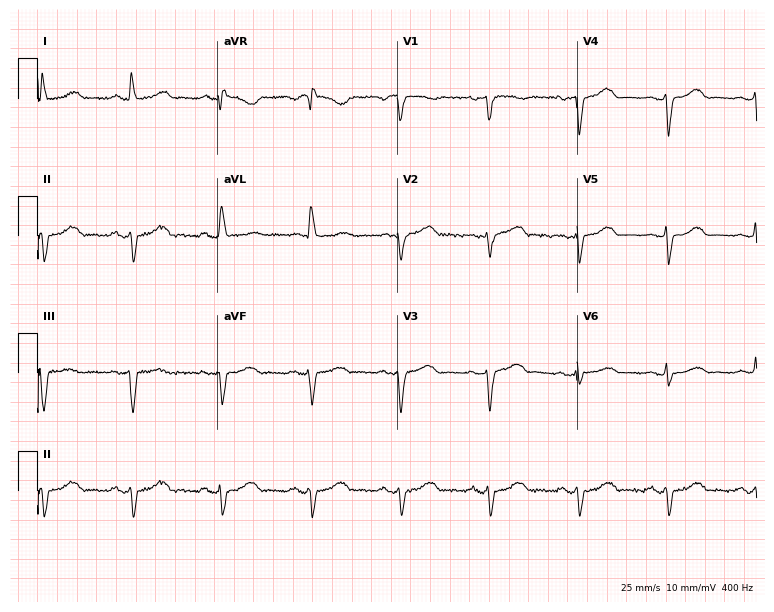
Electrocardiogram (7.3-second recording at 400 Hz), a 79-year-old female patient. Of the six screened findings (first-degree AV block, right bundle branch block, left bundle branch block, sinus bradycardia, atrial fibrillation, sinus tachycardia), none is recorded.